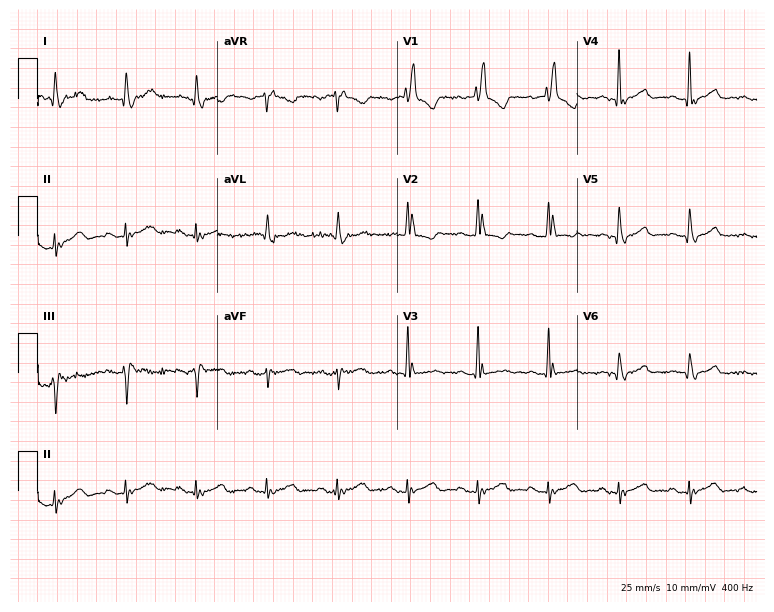
Resting 12-lead electrocardiogram (7.3-second recording at 400 Hz). Patient: a female, 83 years old. The tracing shows right bundle branch block.